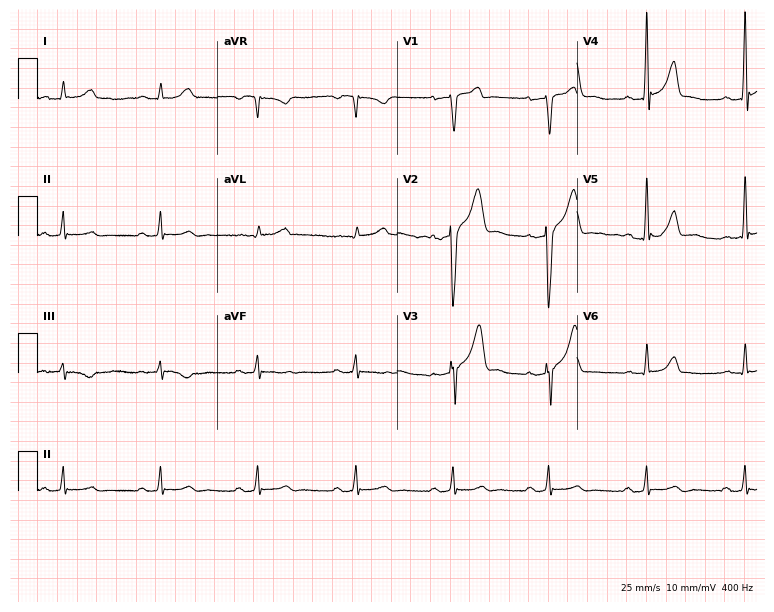
Resting 12-lead electrocardiogram. Patient: a male, 56 years old. None of these six findings is recorded: first-degree AV block, right bundle branch block, left bundle branch block, sinus bradycardia, atrial fibrillation, sinus tachycardia. Findings outside these six are not listed.